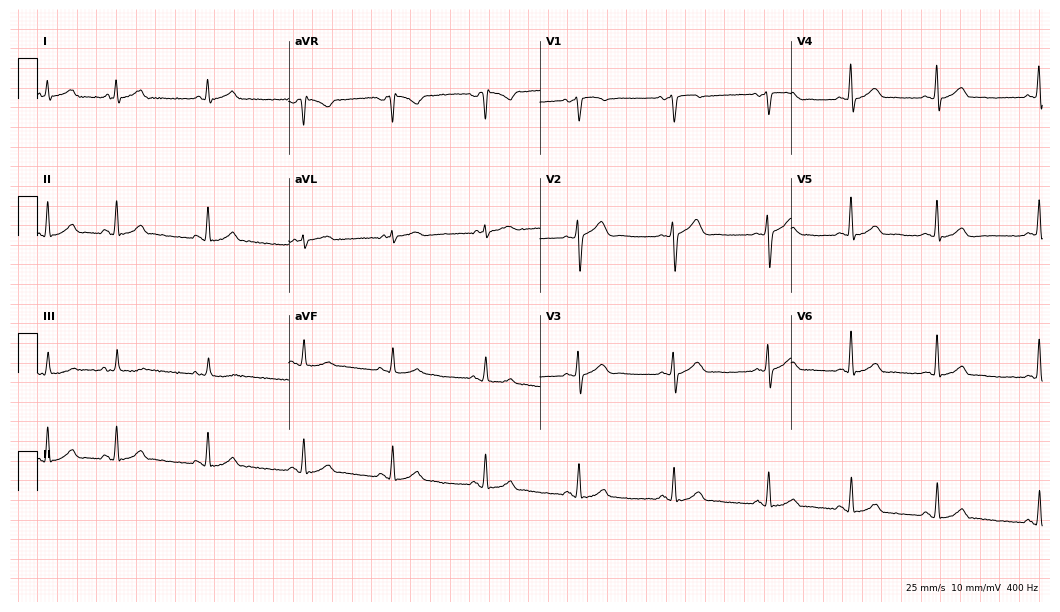
Standard 12-lead ECG recorded from a female, 45 years old (10.2-second recording at 400 Hz). None of these six findings is recorded: first-degree AV block, right bundle branch block, left bundle branch block, sinus bradycardia, atrial fibrillation, sinus tachycardia.